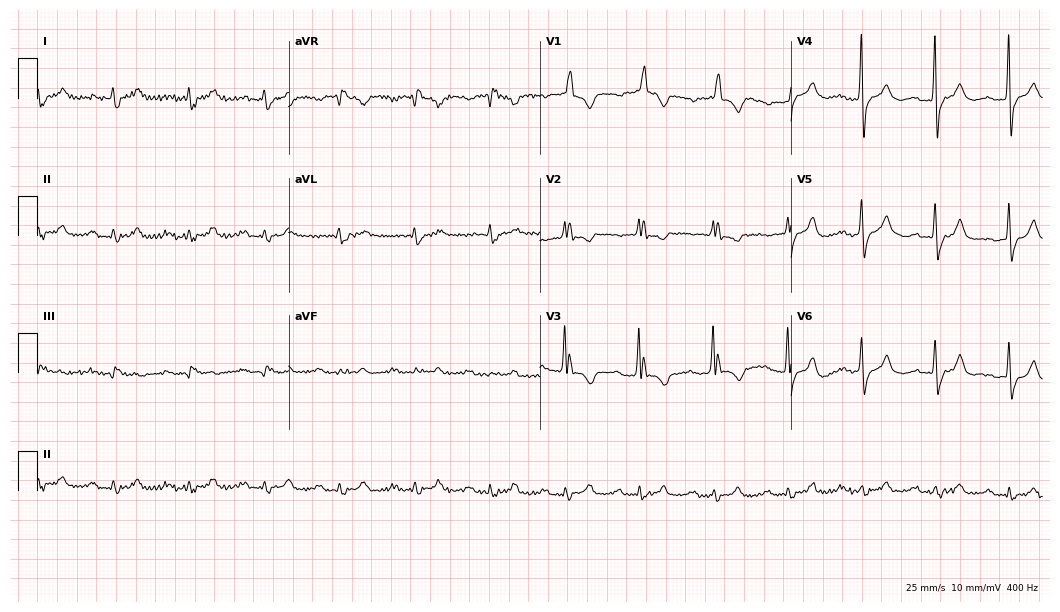
12-lead ECG (10.2-second recording at 400 Hz) from an 82-year-old male. Findings include right bundle branch block (RBBB).